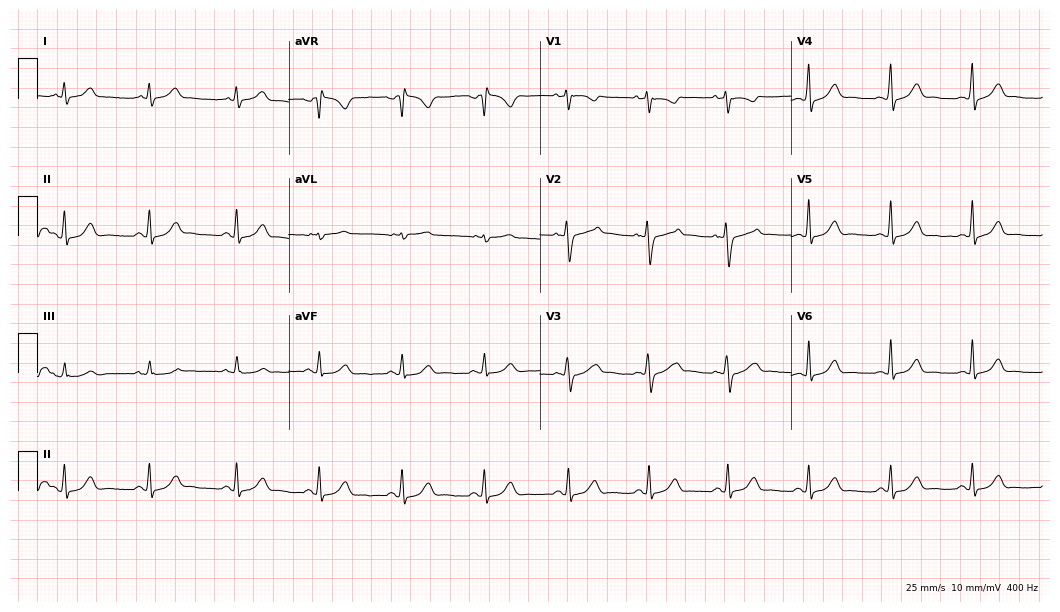
Standard 12-lead ECG recorded from a 36-year-old woman (10.2-second recording at 400 Hz). Read as a normal ECG.